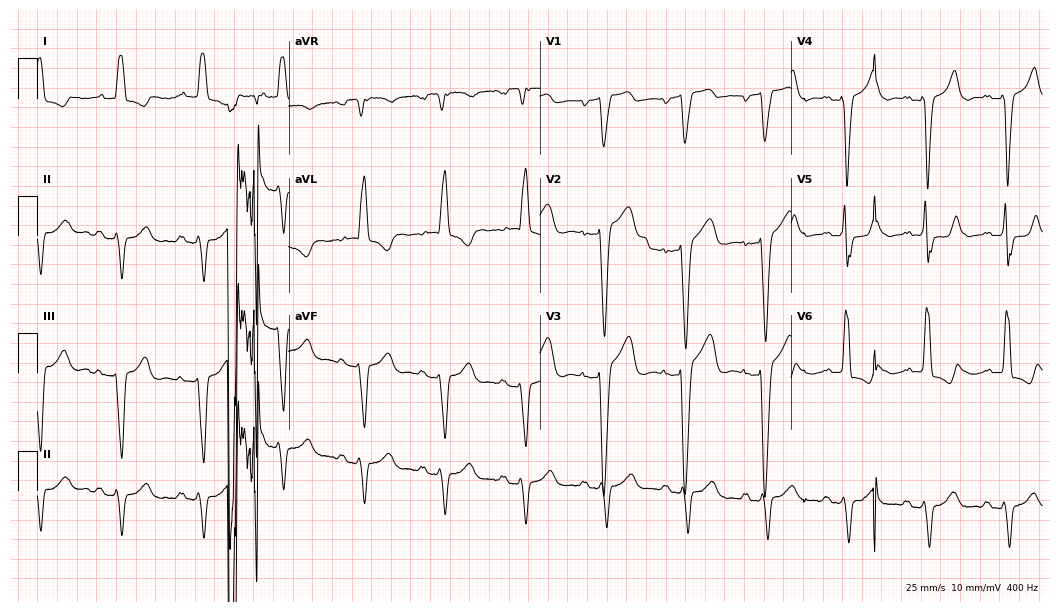
12-lead ECG from a woman, 81 years old. Findings include left bundle branch block.